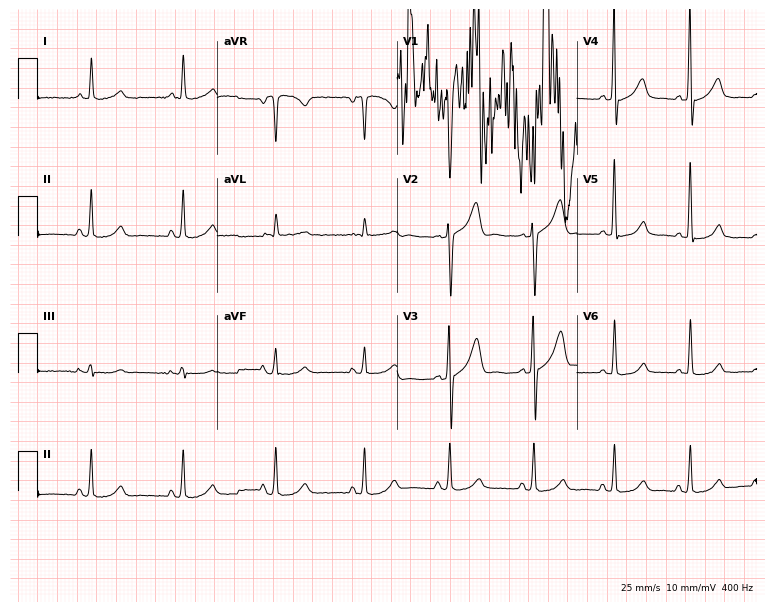
ECG (7.3-second recording at 400 Hz) — a man, 48 years old. Screened for six findings — first-degree AV block, right bundle branch block (RBBB), left bundle branch block (LBBB), sinus bradycardia, atrial fibrillation (AF), sinus tachycardia — none is recorded. Other findings, if any, are not listed.